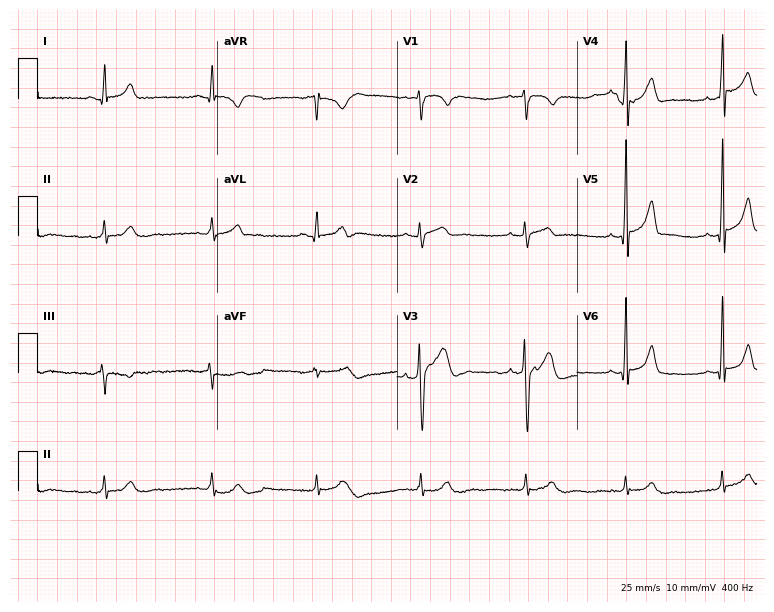
Resting 12-lead electrocardiogram. Patient: a 42-year-old man. Read as a normal ECG.